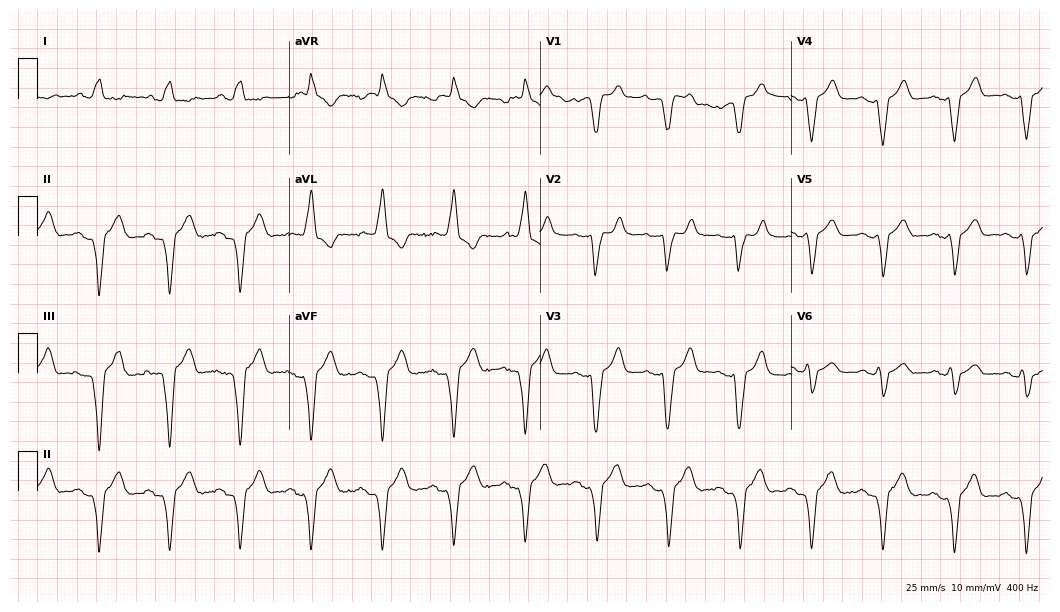
Standard 12-lead ECG recorded from an 83-year-old male. The tracing shows left bundle branch block (LBBB).